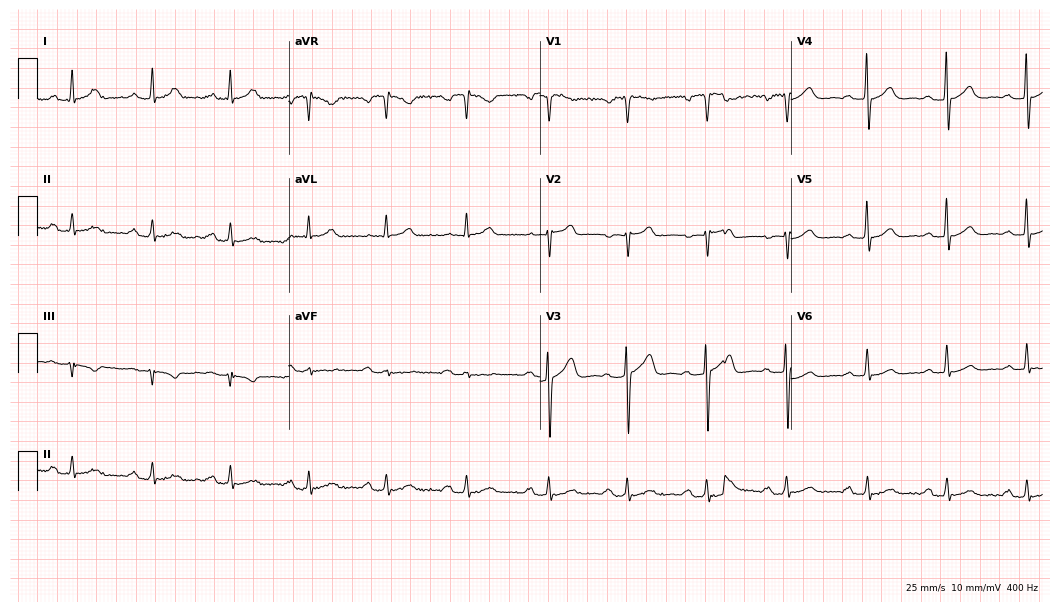
ECG (10.2-second recording at 400 Hz) — a 71-year-old male. Findings include first-degree AV block.